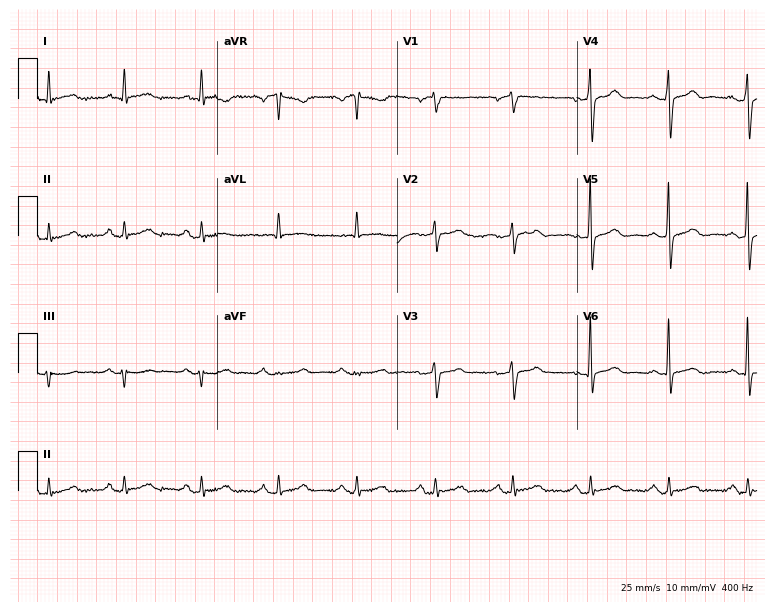
ECG (7.3-second recording at 400 Hz) — a man, 72 years old. Screened for six findings — first-degree AV block, right bundle branch block, left bundle branch block, sinus bradycardia, atrial fibrillation, sinus tachycardia — none is recorded. Only these six findings were labelled.